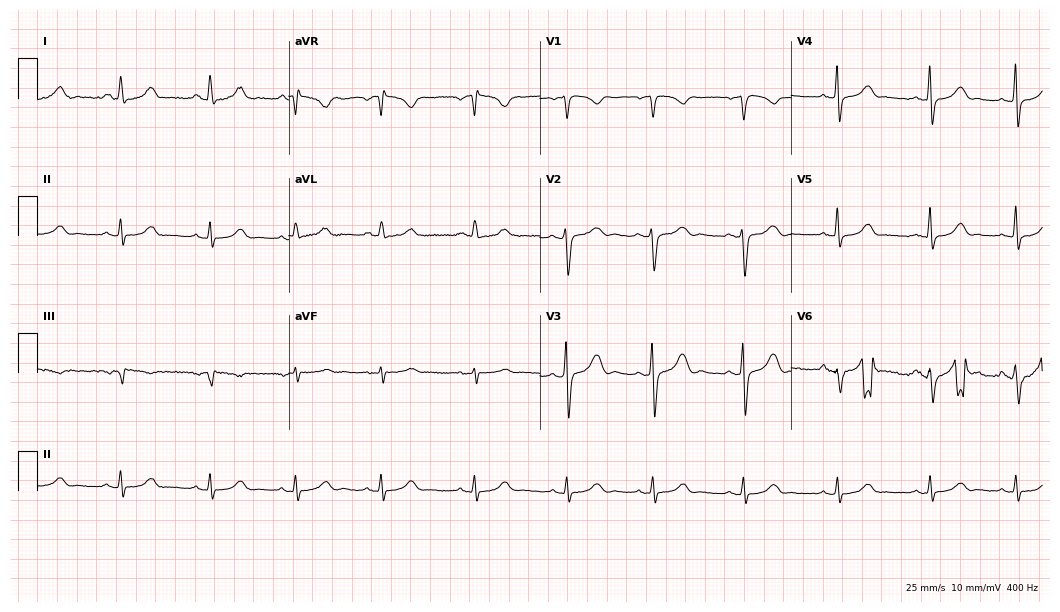
Standard 12-lead ECG recorded from a 48-year-old female patient. Read as a normal ECG.